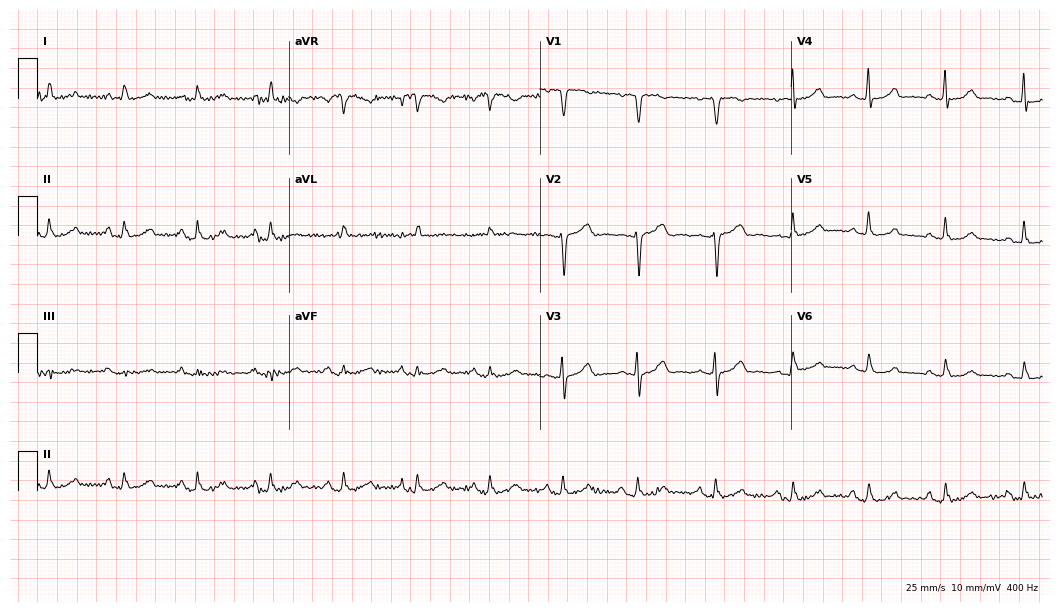
12-lead ECG from a 65-year-old woman. Screened for six findings — first-degree AV block, right bundle branch block, left bundle branch block, sinus bradycardia, atrial fibrillation, sinus tachycardia — none is recorded. Only these six findings were labelled.